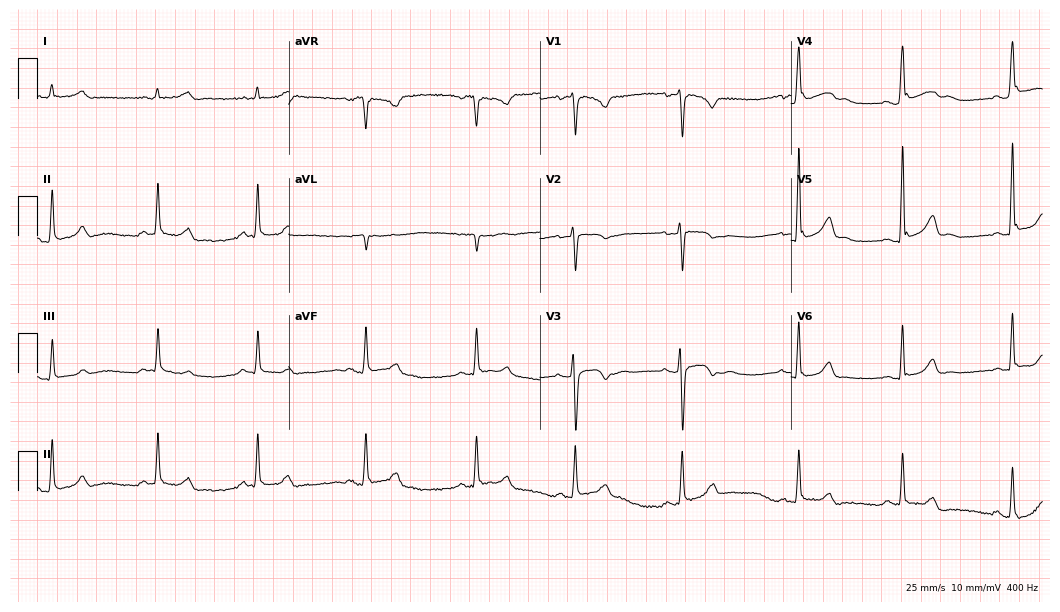
12-lead ECG from a 23-year-old woman. Screened for six findings — first-degree AV block, right bundle branch block (RBBB), left bundle branch block (LBBB), sinus bradycardia, atrial fibrillation (AF), sinus tachycardia — none is recorded.